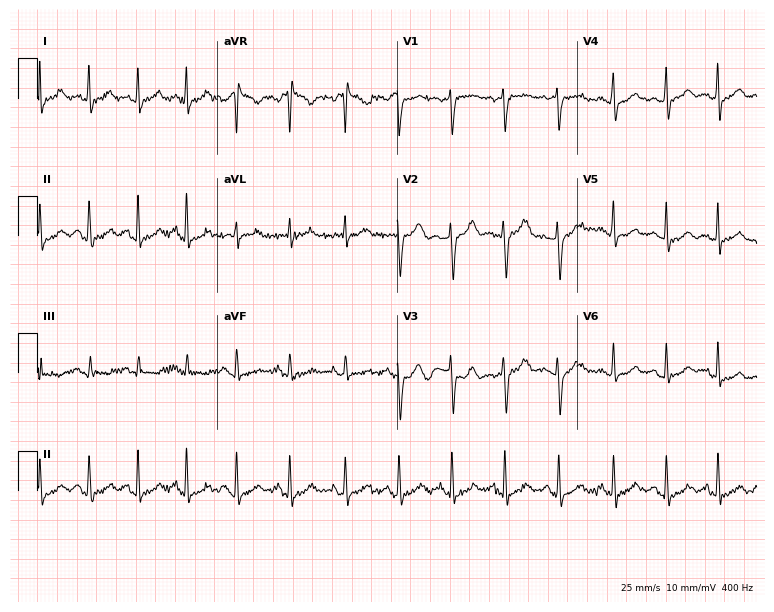
Standard 12-lead ECG recorded from a woman, 34 years old. The tracing shows sinus tachycardia (a sinus rate of 100 beats per minute or more).